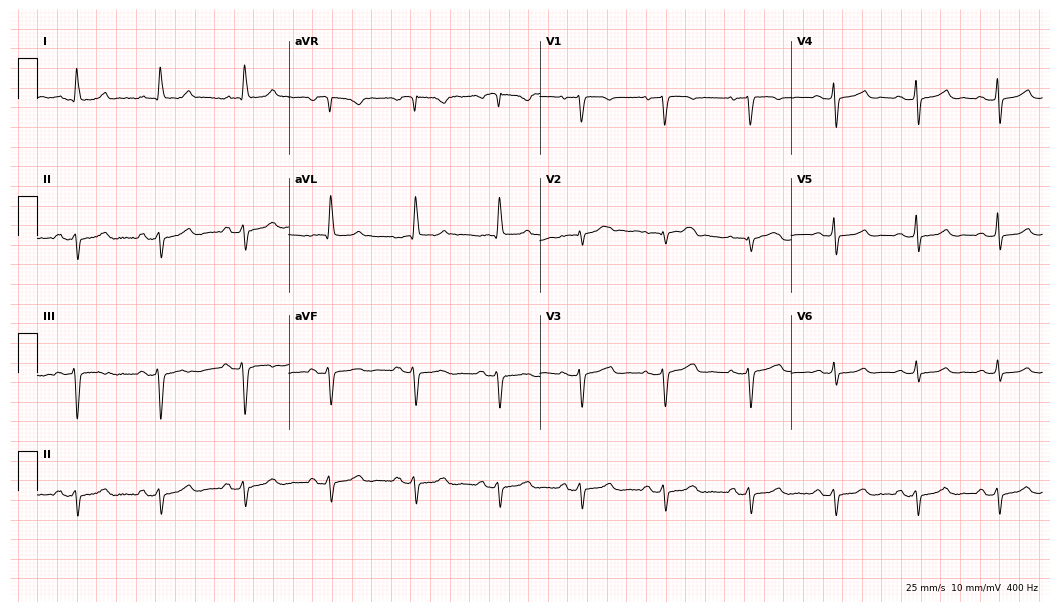
Resting 12-lead electrocardiogram (10.2-second recording at 400 Hz). Patient: a woman, 68 years old. None of these six findings is recorded: first-degree AV block, right bundle branch block, left bundle branch block, sinus bradycardia, atrial fibrillation, sinus tachycardia.